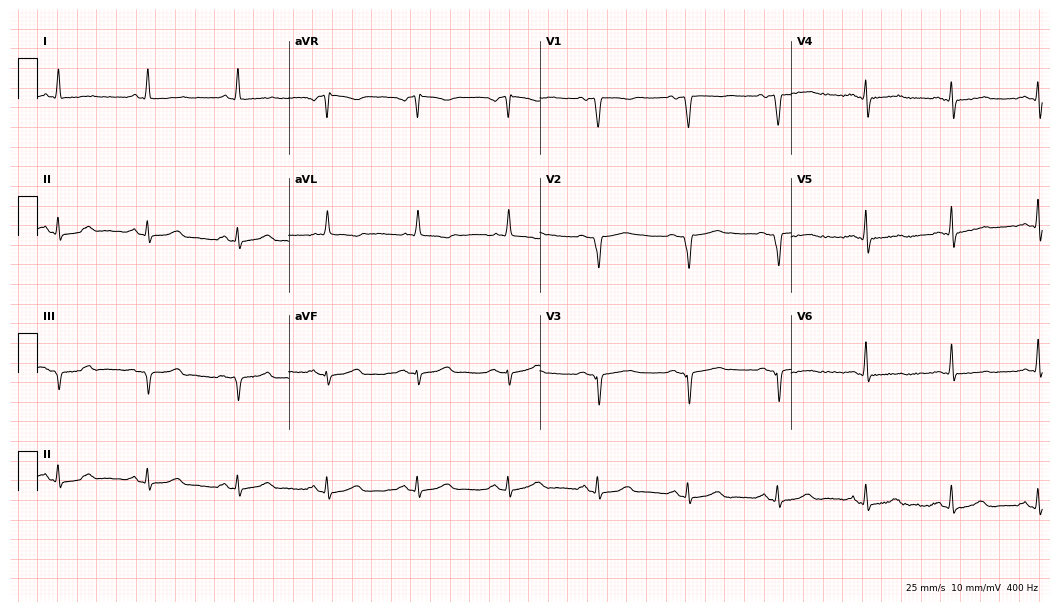
Resting 12-lead electrocardiogram (10.2-second recording at 400 Hz). Patient: a male, 84 years old. None of these six findings is recorded: first-degree AV block, right bundle branch block, left bundle branch block, sinus bradycardia, atrial fibrillation, sinus tachycardia.